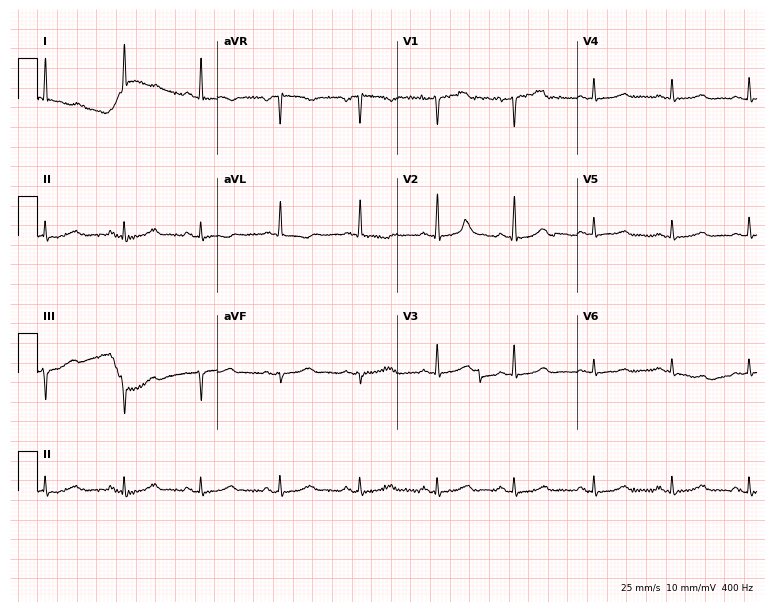
12-lead ECG (7.3-second recording at 400 Hz) from a 59-year-old woman. Screened for six findings — first-degree AV block, right bundle branch block (RBBB), left bundle branch block (LBBB), sinus bradycardia, atrial fibrillation (AF), sinus tachycardia — none is recorded.